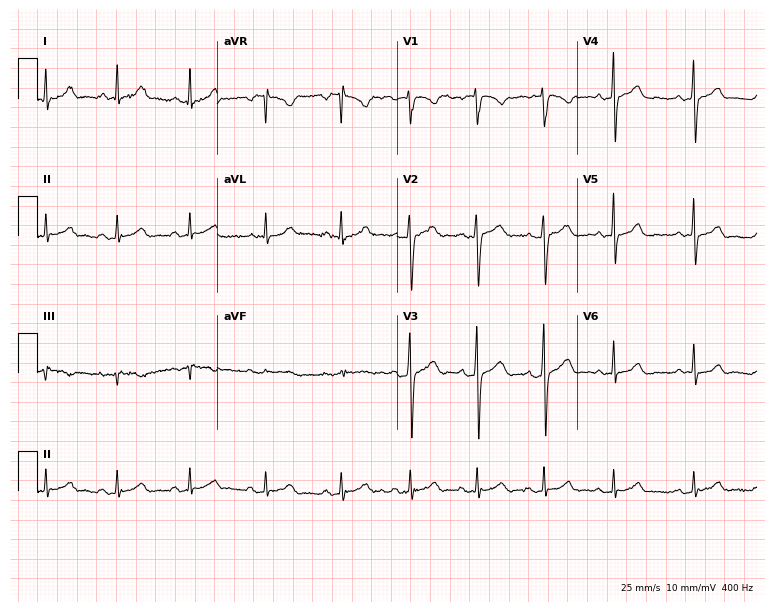
Resting 12-lead electrocardiogram. Patient: a male, 40 years old. Read as a normal ECG.